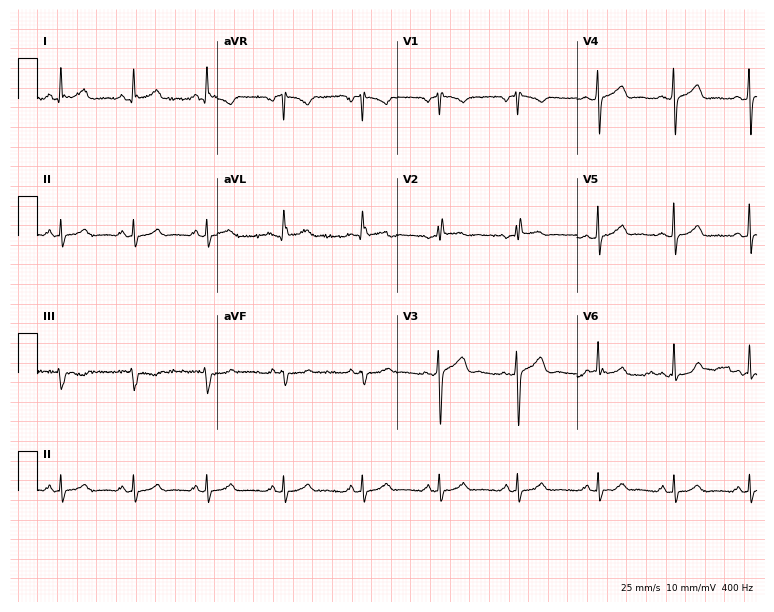
Resting 12-lead electrocardiogram. Patient: a male, 41 years old. None of these six findings is recorded: first-degree AV block, right bundle branch block, left bundle branch block, sinus bradycardia, atrial fibrillation, sinus tachycardia. Other findings, if any, are not listed.